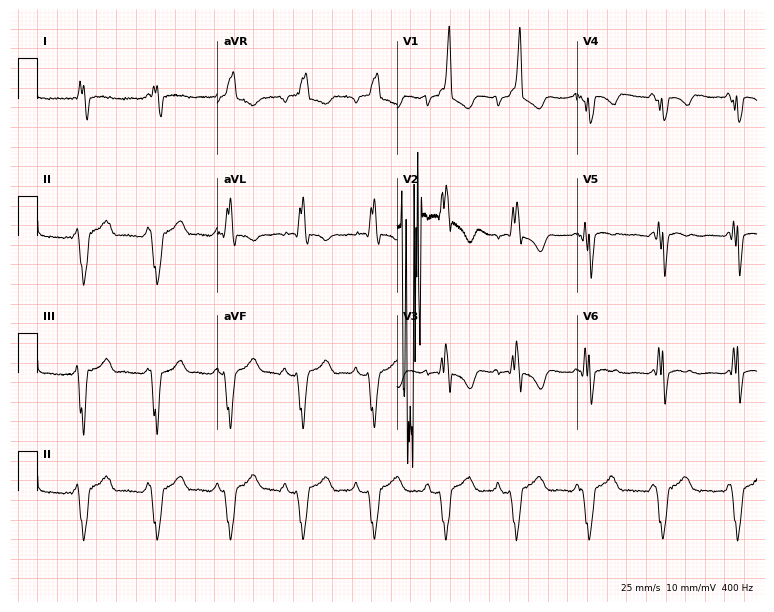
12-lead ECG from a 65-year-old male patient. Findings include right bundle branch block.